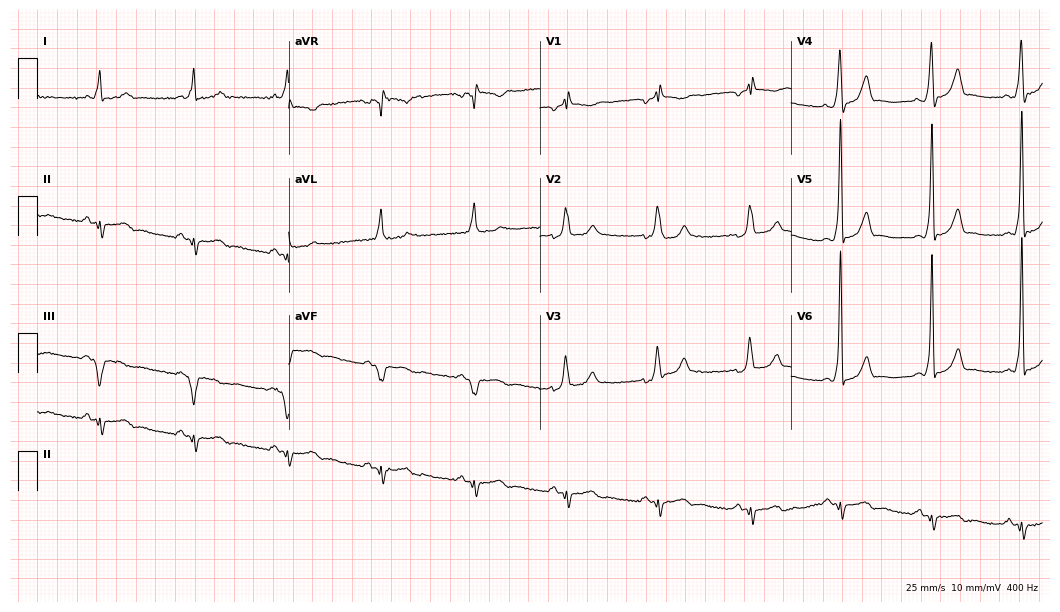
Resting 12-lead electrocardiogram. Patient: a male, 61 years old. The tracing shows right bundle branch block.